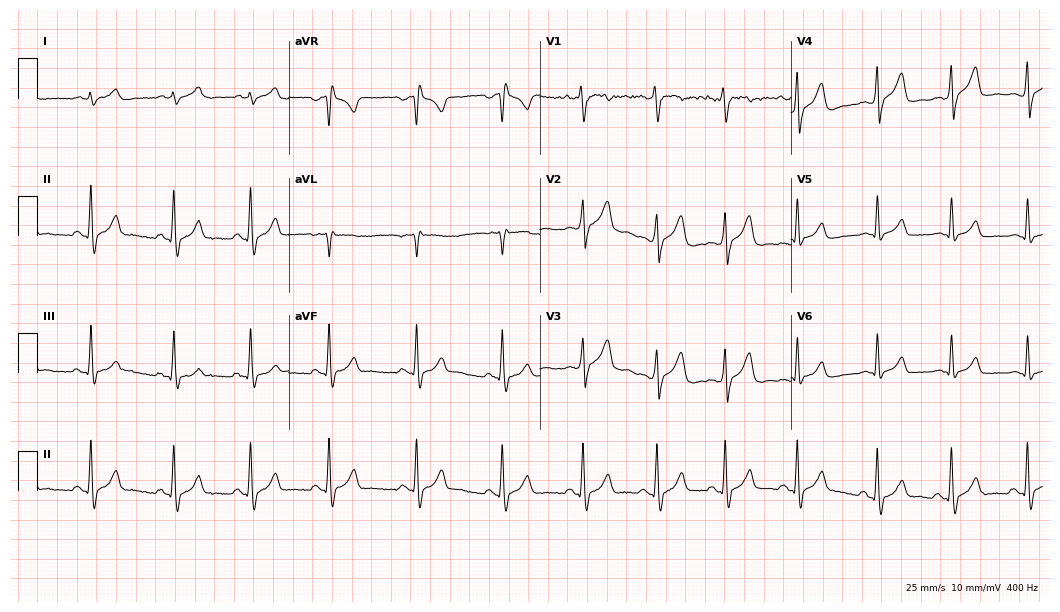
12-lead ECG from a male, 21 years old. No first-degree AV block, right bundle branch block, left bundle branch block, sinus bradycardia, atrial fibrillation or sinus tachycardia recorded for this tracing.